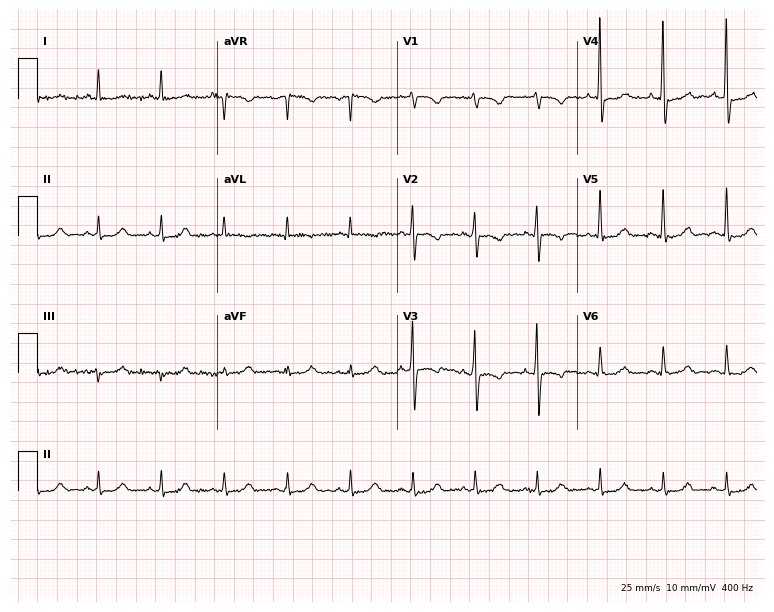
Electrocardiogram (7.3-second recording at 400 Hz), a 78-year-old male patient. Of the six screened findings (first-degree AV block, right bundle branch block (RBBB), left bundle branch block (LBBB), sinus bradycardia, atrial fibrillation (AF), sinus tachycardia), none is recorded. Only these six findings were labelled.